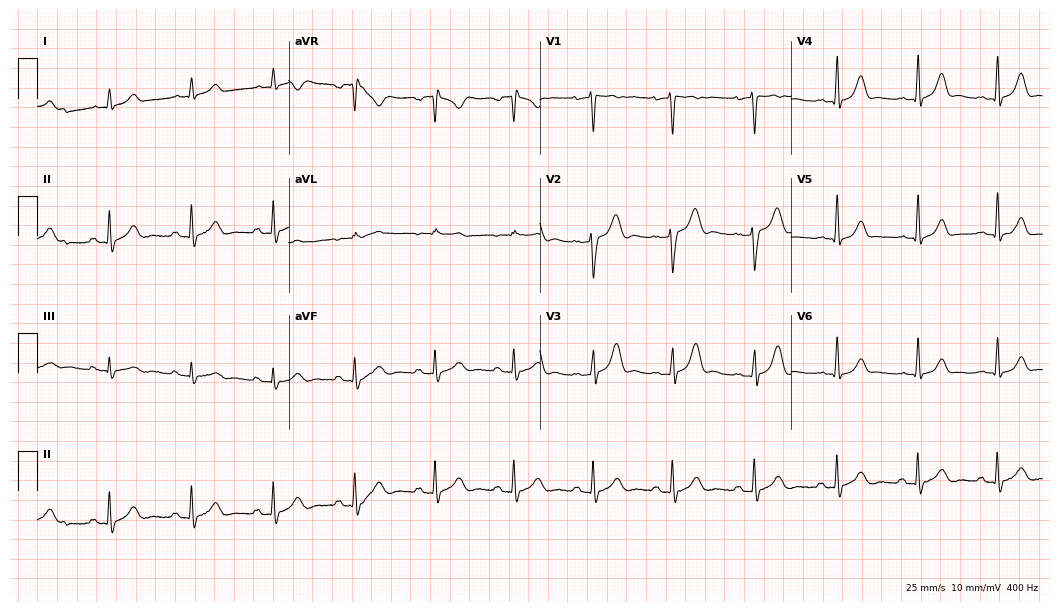
12-lead ECG from a 31-year-old male patient (10.2-second recording at 400 Hz). Recorded interpretation: within normal limits.